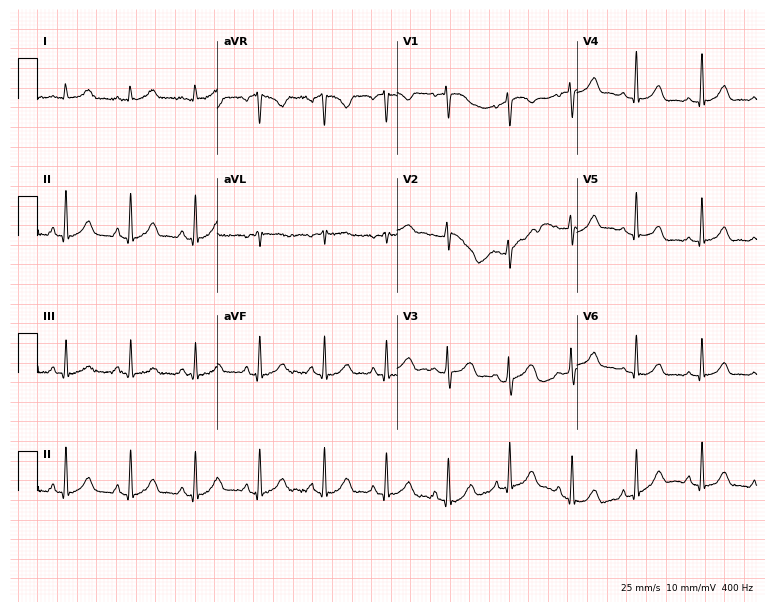
12-lead ECG from a woman, 33 years old. No first-degree AV block, right bundle branch block, left bundle branch block, sinus bradycardia, atrial fibrillation or sinus tachycardia recorded for this tracing. Only these six findings were labelled.